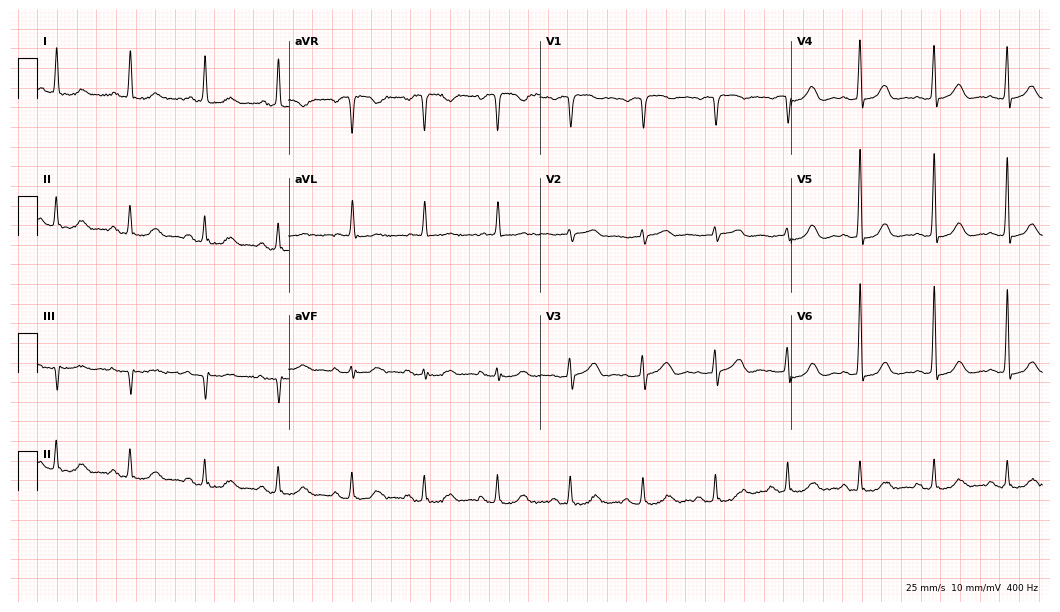
ECG (10.2-second recording at 400 Hz) — a female, 84 years old. Labelled as a normal ECG.